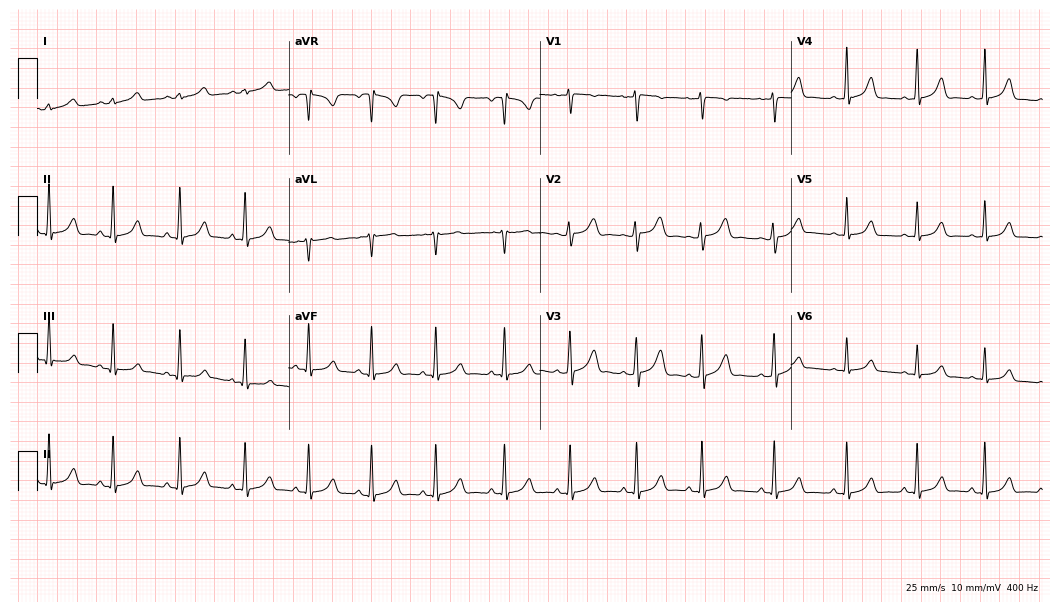
Standard 12-lead ECG recorded from a 29-year-old woman. Read as a normal ECG.